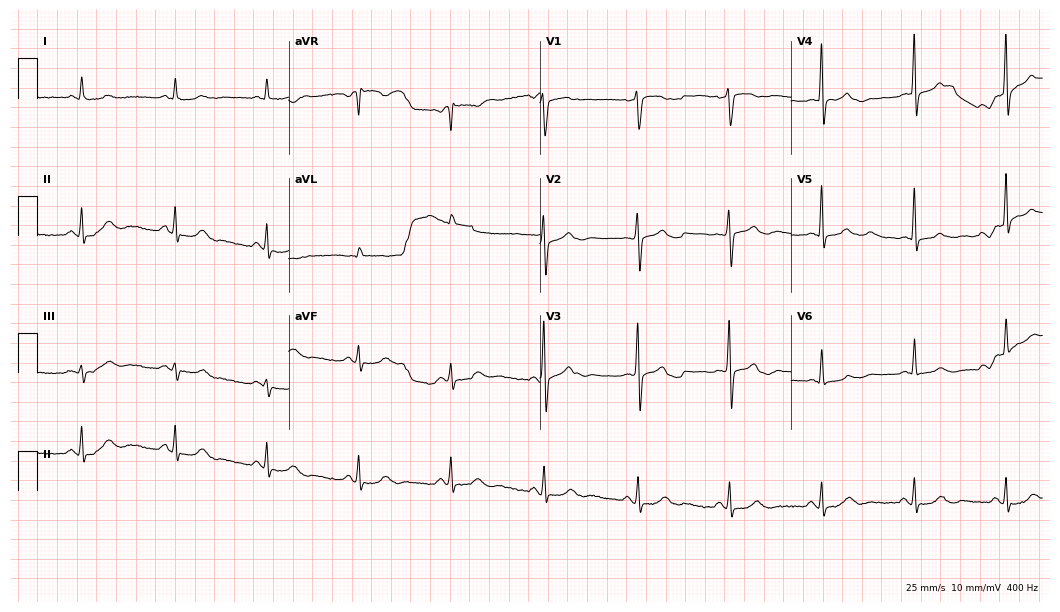
12-lead ECG from a 54-year-old female patient (10.2-second recording at 400 Hz). No first-degree AV block, right bundle branch block, left bundle branch block, sinus bradycardia, atrial fibrillation or sinus tachycardia recorded for this tracing. Findings outside these six are not listed.